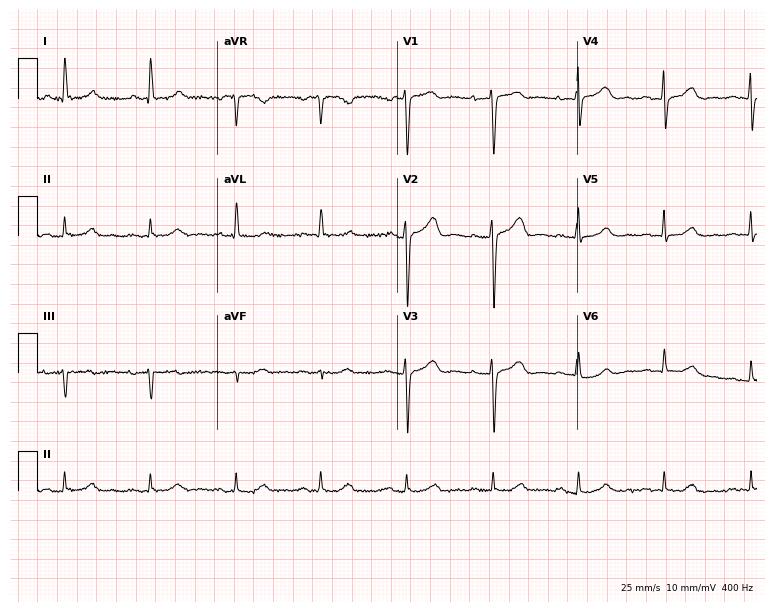
12-lead ECG from an 83-year-old female. Recorded interpretation: within normal limits.